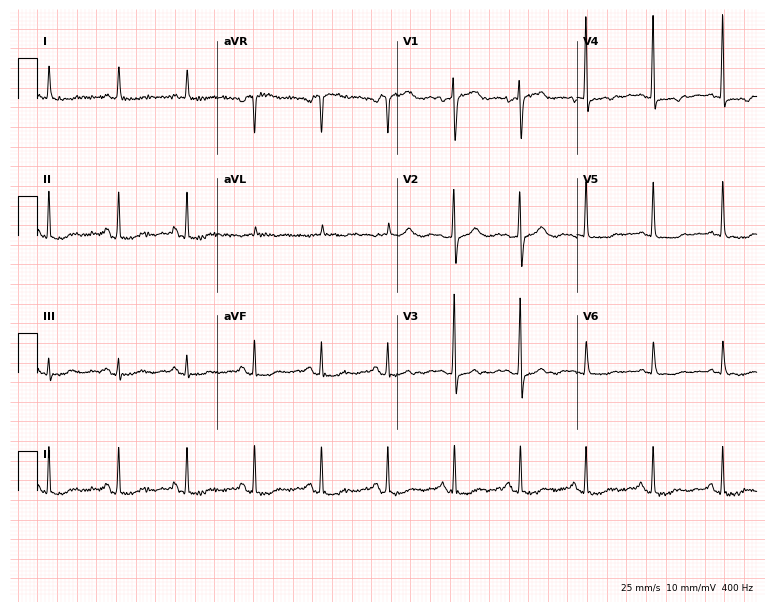
Standard 12-lead ECG recorded from a female patient, 61 years old (7.3-second recording at 400 Hz). None of these six findings is recorded: first-degree AV block, right bundle branch block (RBBB), left bundle branch block (LBBB), sinus bradycardia, atrial fibrillation (AF), sinus tachycardia. Other findings, if any, are not listed.